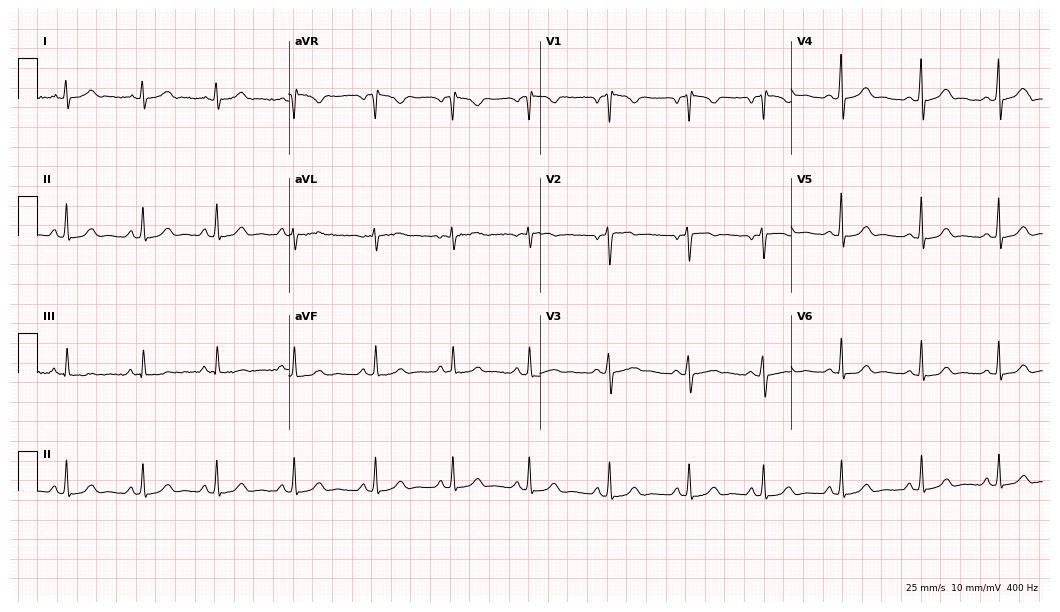
Standard 12-lead ECG recorded from a 21-year-old female. None of these six findings is recorded: first-degree AV block, right bundle branch block, left bundle branch block, sinus bradycardia, atrial fibrillation, sinus tachycardia. Findings outside these six are not listed.